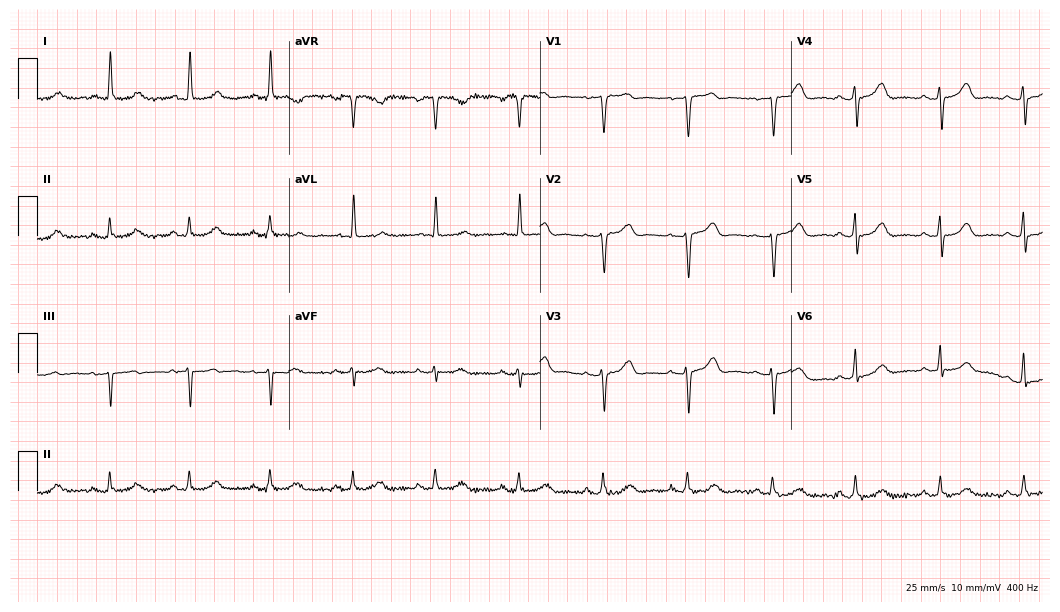
Resting 12-lead electrocardiogram (10.2-second recording at 400 Hz). Patient: a 70-year-old female. Read as a normal ECG.